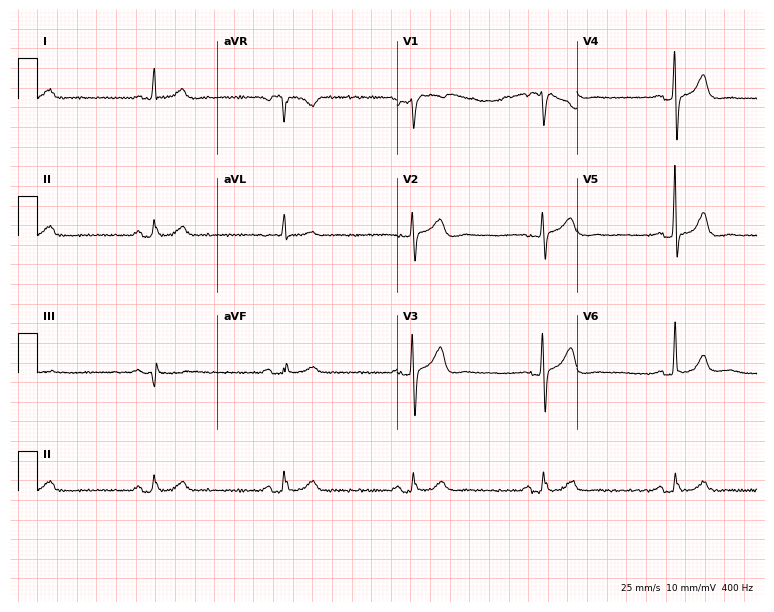
Standard 12-lead ECG recorded from a 70-year-old man. The tracing shows sinus bradycardia (a sinus rate of 50 beats per minute or less).